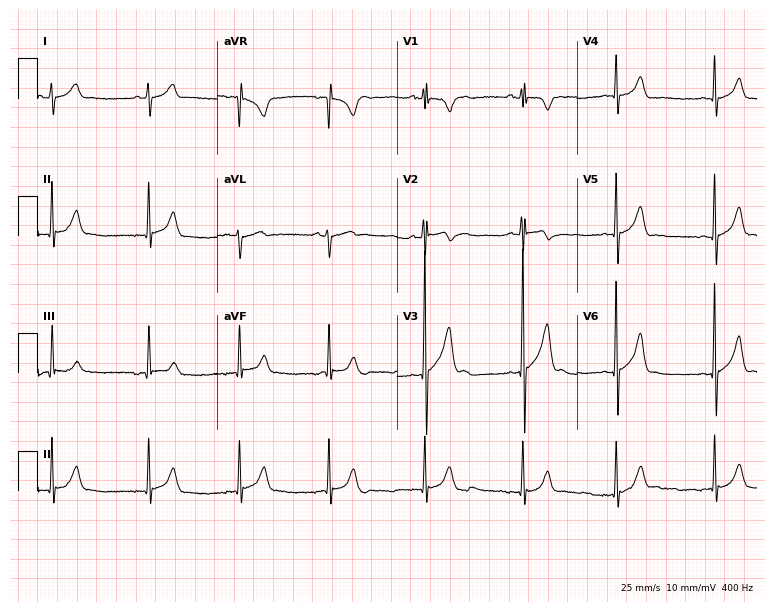
Resting 12-lead electrocardiogram (7.3-second recording at 400 Hz). Patient: a man, 17 years old. Read as a normal ECG.